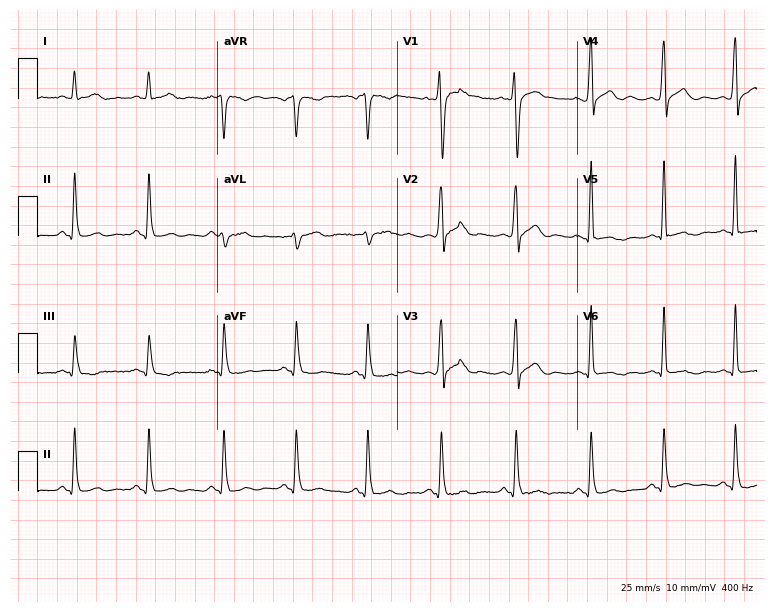
Resting 12-lead electrocardiogram. Patient: a male, 31 years old. None of these six findings is recorded: first-degree AV block, right bundle branch block, left bundle branch block, sinus bradycardia, atrial fibrillation, sinus tachycardia. Findings outside these six are not listed.